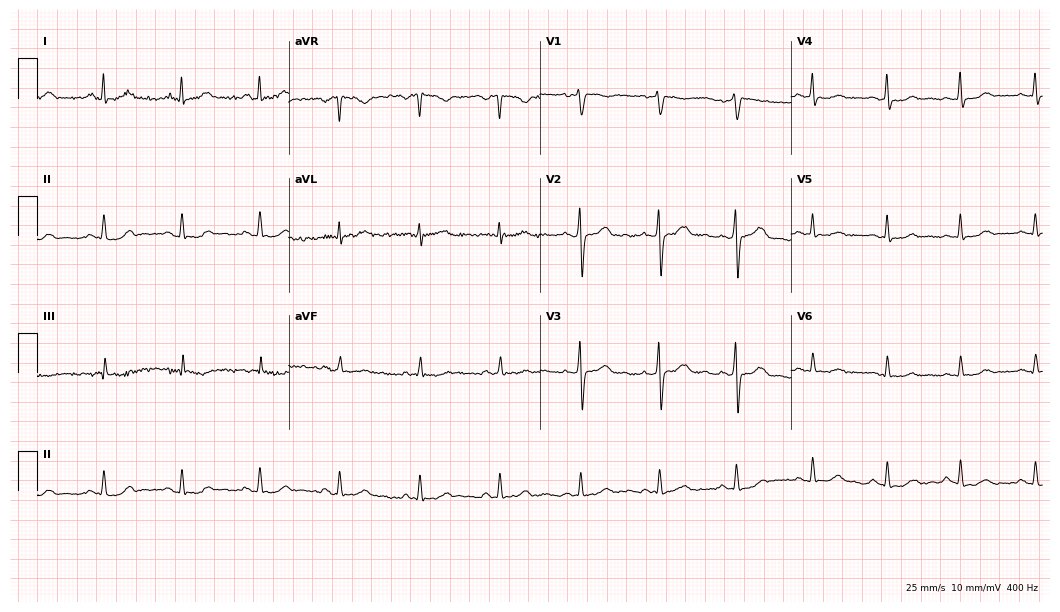
12-lead ECG (10.2-second recording at 400 Hz) from a 46-year-old female. Labelled as a normal ECG.